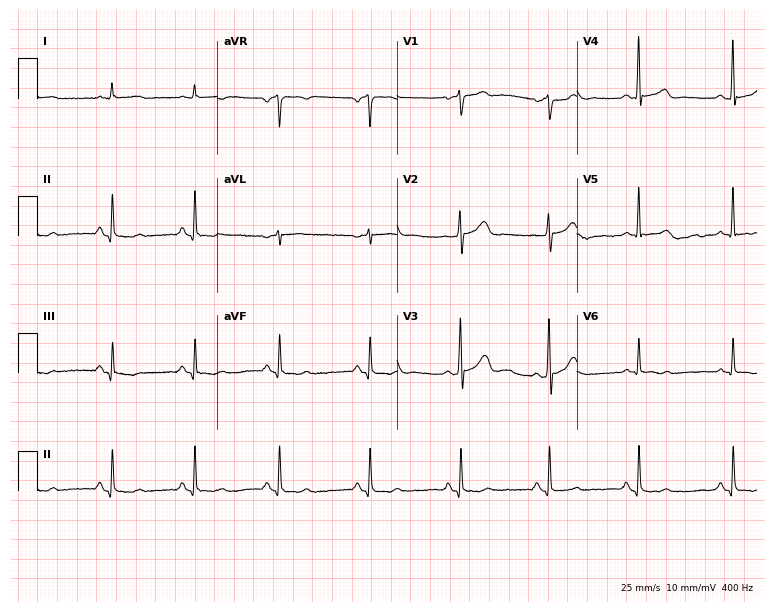
12-lead ECG from a male, 49 years old. No first-degree AV block, right bundle branch block (RBBB), left bundle branch block (LBBB), sinus bradycardia, atrial fibrillation (AF) or sinus tachycardia recorded for this tracing. Other findings, if any, are not listed.